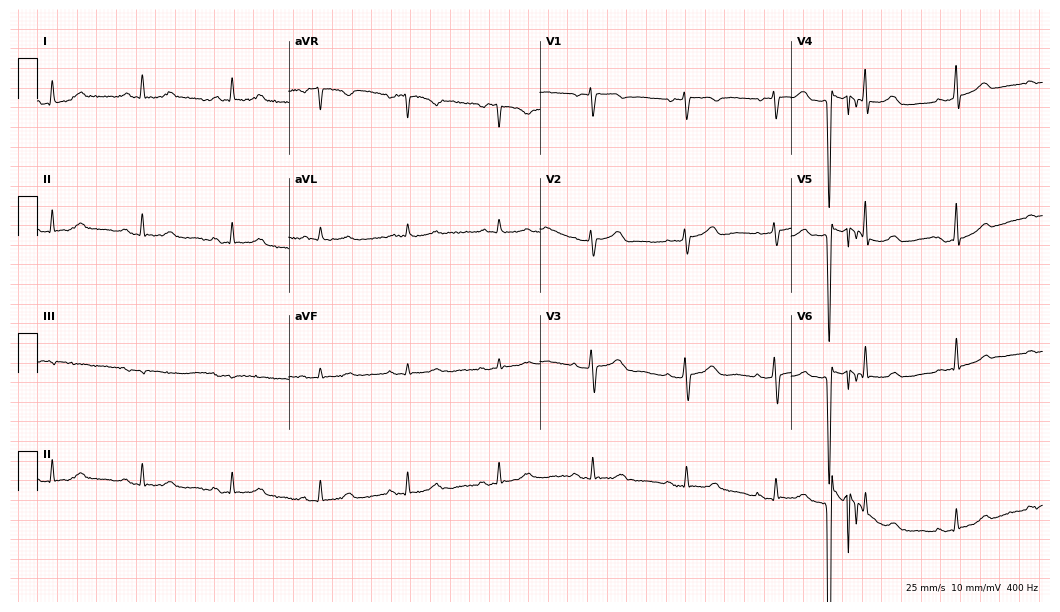
Resting 12-lead electrocardiogram. Patient: a female, 58 years old. None of these six findings is recorded: first-degree AV block, right bundle branch block (RBBB), left bundle branch block (LBBB), sinus bradycardia, atrial fibrillation (AF), sinus tachycardia. Only these six findings were labelled.